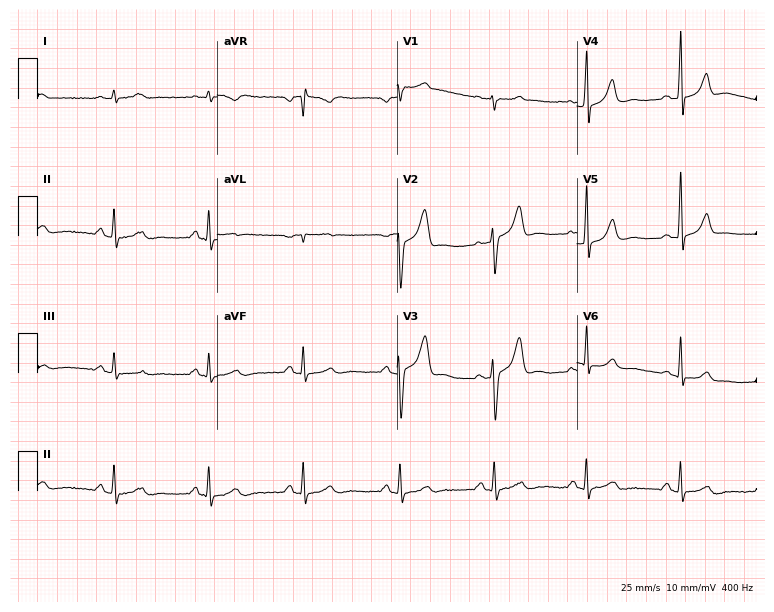
ECG (7.3-second recording at 400 Hz) — a 59-year-old male. Screened for six findings — first-degree AV block, right bundle branch block, left bundle branch block, sinus bradycardia, atrial fibrillation, sinus tachycardia — none is recorded. Findings outside these six are not listed.